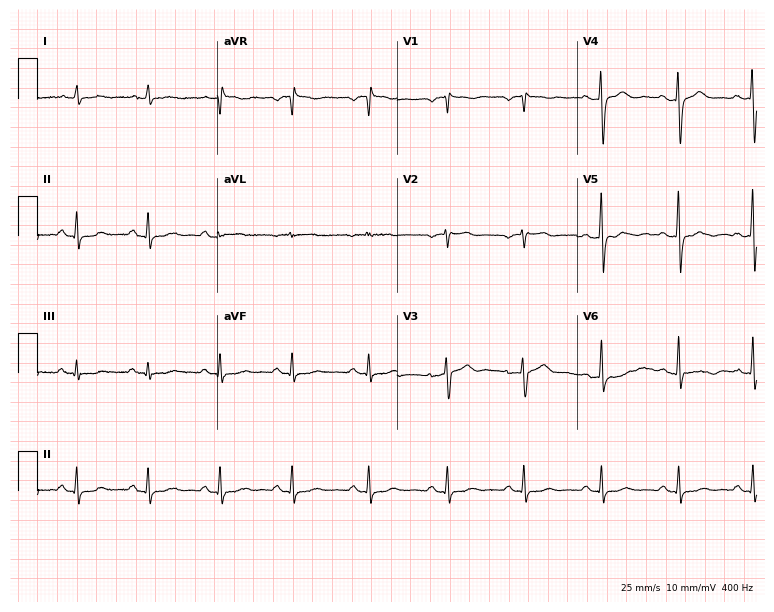
Resting 12-lead electrocardiogram (7.3-second recording at 400 Hz). Patient: a 61-year-old female. None of these six findings is recorded: first-degree AV block, right bundle branch block, left bundle branch block, sinus bradycardia, atrial fibrillation, sinus tachycardia.